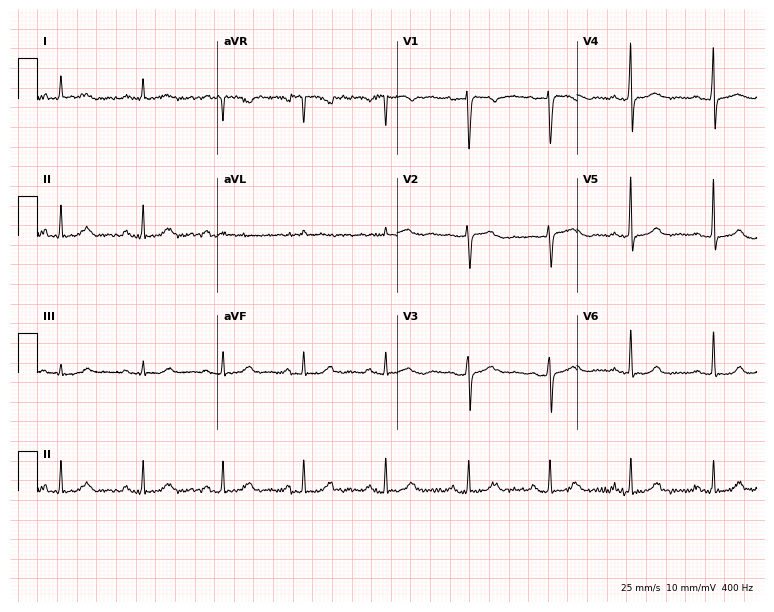
12-lead ECG from a female patient, 44 years old. Screened for six findings — first-degree AV block, right bundle branch block, left bundle branch block, sinus bradycardia, atrial fibrillation, sinus tachycardia — none is recorded. Only these six findings were labelled.